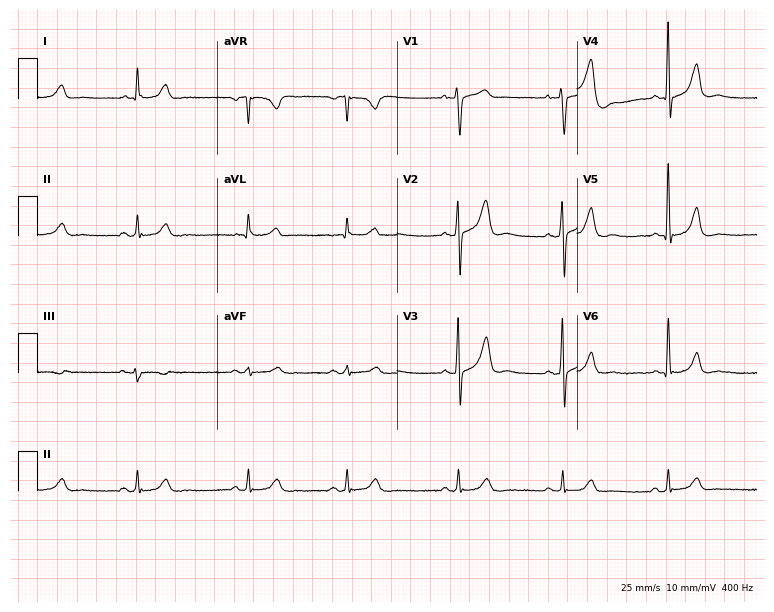
Resting 12-lead electrocardiogram. Patient: a 73-year-old male. None of these six findings is recorded: first-degree AV block, right bundle branch block, left bundle branch block, sinus bradycardia, atrial fibrillation, sinus tachycardia.